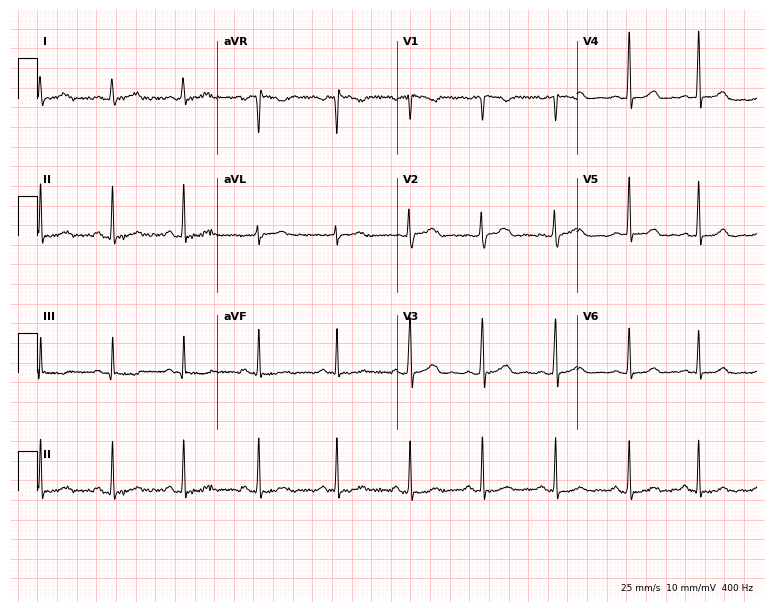
Electrocardiogram, a 32-year-old female. Of the six screened findings (first-degree AV block, right bundle branch block, left bundle branch block, sinus bradycardia, atrial fibrillation, sinus tachycardia), none is recorded.